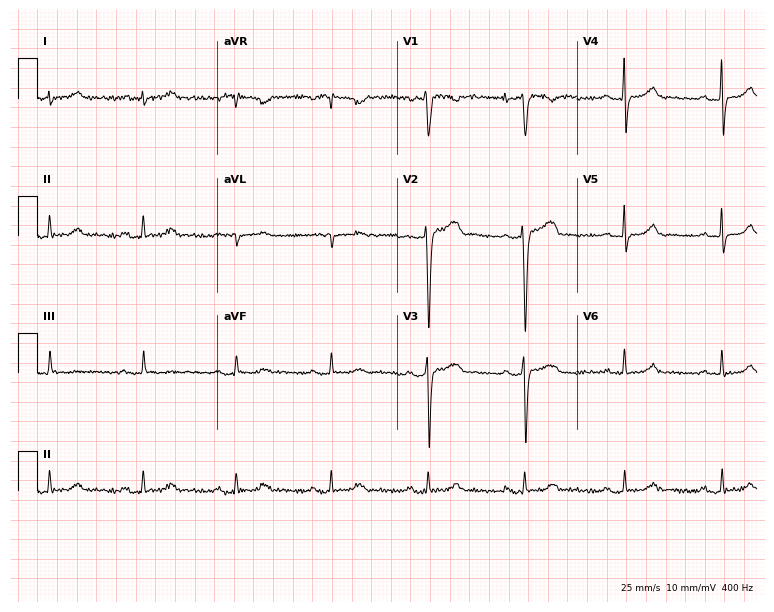
12-lead ECG from a 55-year-old male patient. Screened for six findings — first-degree AV block, right bundle branch block, left bundle branch block, sinus bradycardia, atrial fibrillation, sinus tachycardia — none is recorded. Findings outside these six are not listed.